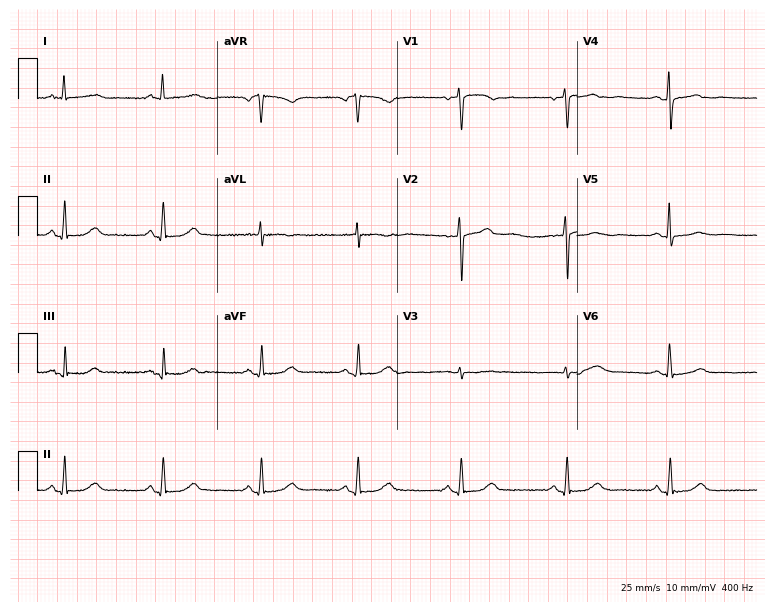
12-lead ECG from a female, 57 years old (7.3-second recording at 400 Hz). Recorded interpretation: within normal limits.